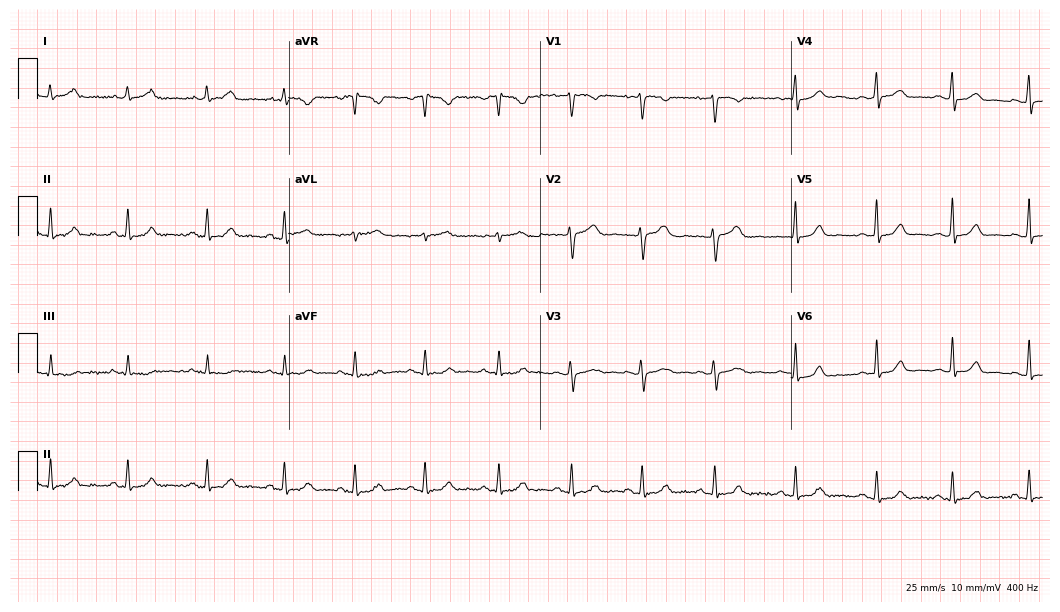
Resting 12-lead electrocardiogram (10.2-second recording at 400 Hz). Patient: a 35-year-old female. Read as a normal ECG.